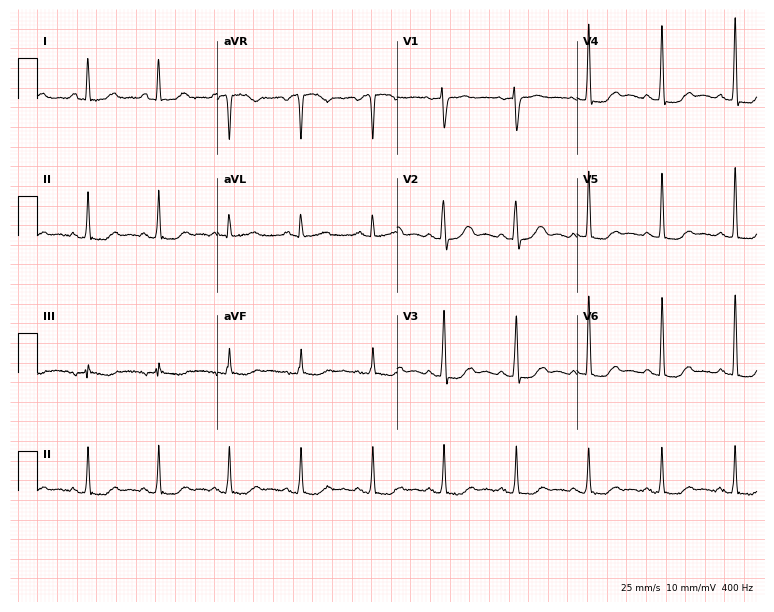
Resting 12-lead electrocardiogram. Patient: a 63-year-old female. None of these six findings is recorded: first-degree AV block, right bundle branch block, left bundle branch block, sinus bradycardia, atrial fibrillation, sinus tachycardia.